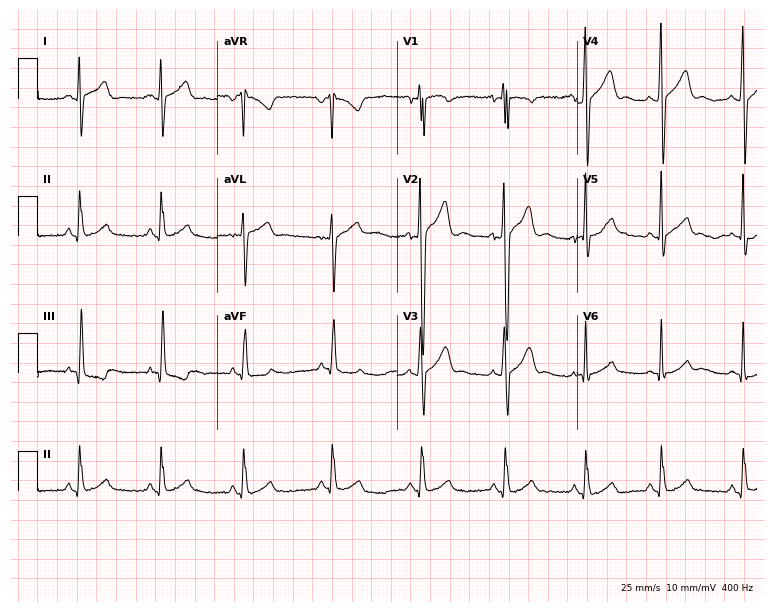
Resting 12-lead electrocardiogram. Patient: an 18-year-old male. None of these six findings is recorded: first-degree AV block, right bundle branch block, left bundle branch block, sinus bradycardia, atrial fibrillation, sinus tachycardia. Other findings, if any, are not listed.